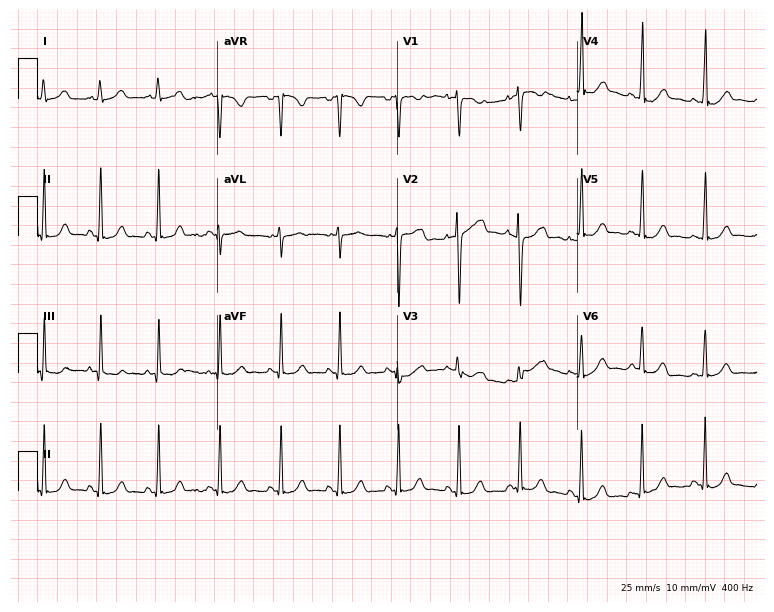
12-lead ECG (7.3-second recording at 400 Hz) from a female, 20 years old. Labelled as a normal ECG.